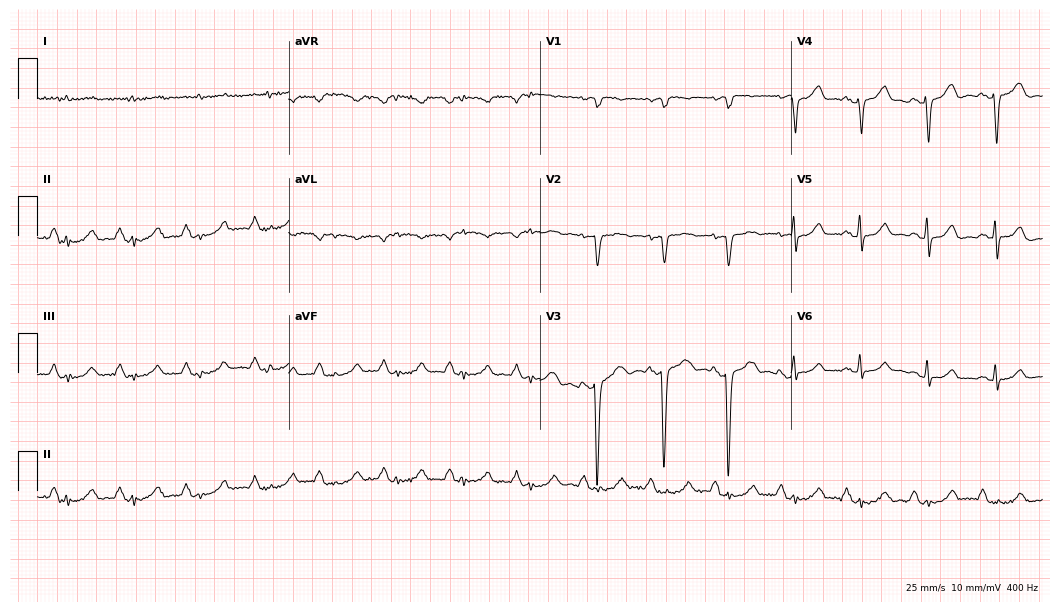
12-lead ECG from a 75-year-old male. Screened for six findings — first-degree AV block, right bundle branch block, left bundle branch block, sinus bradycardia, atrial fibrillation, sinus tachycardia — none is recorded. Other findings, if any, are not listed.